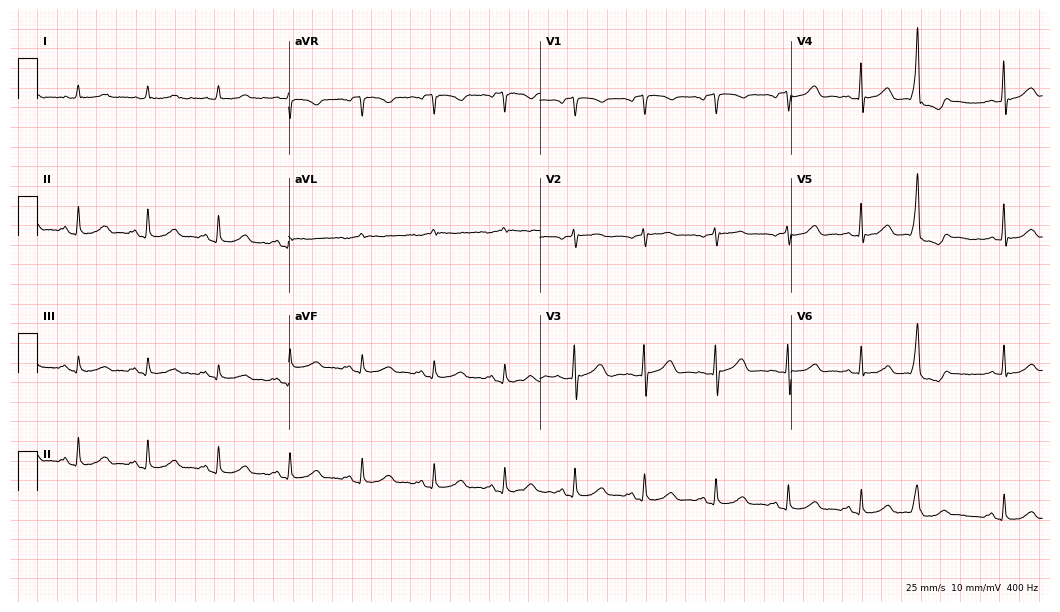
Electrocardiogram (10.2-second recording at 400 Hz), a female patient, 74 years old. Overall reading on record: normal ECG.